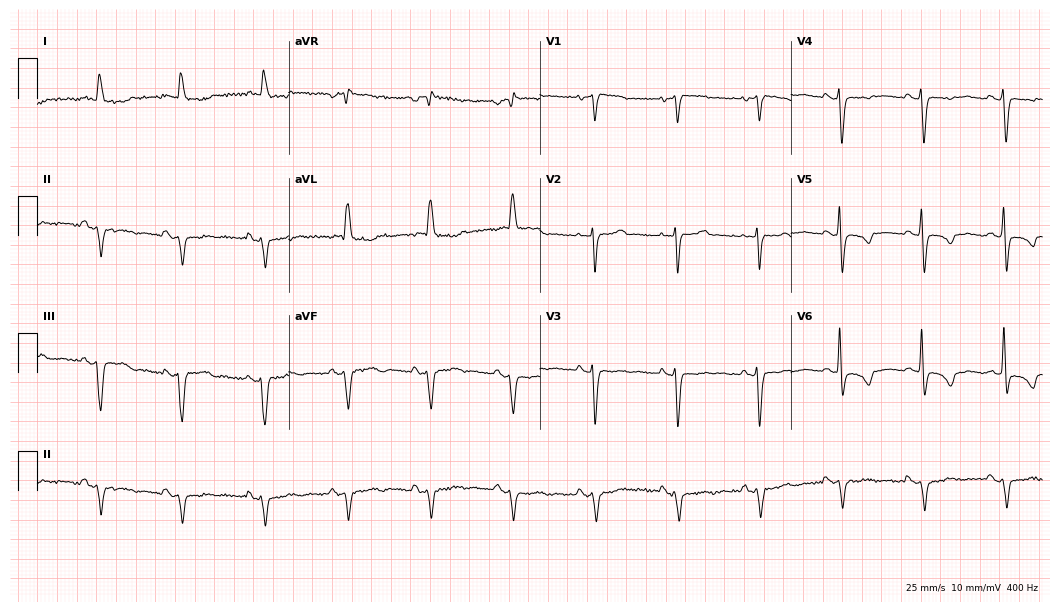
Electrocardiogram (10.2-second recording at 400 Hz), an 81-year-old female. Of the six screened findings (first-degree AV block, right bundle branch block (RBBB), left bundle branch block (LBBB), sinus bradycardia, atrial fibrillation (AF), sinus tachycardia), none is recorded.